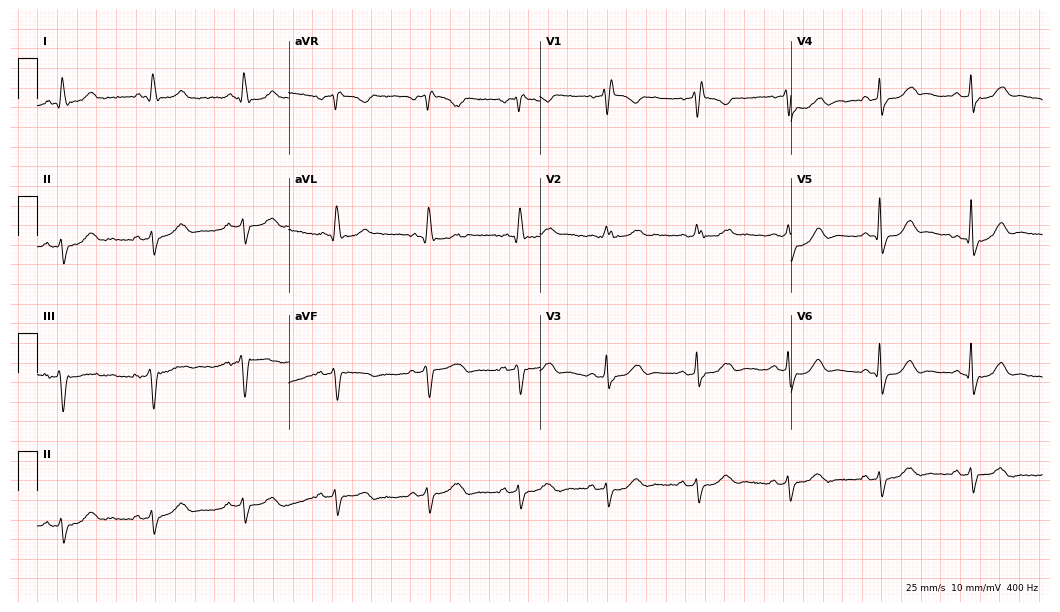
12-lead ECG from an 83-year-old male. Shows right bundle branch block.